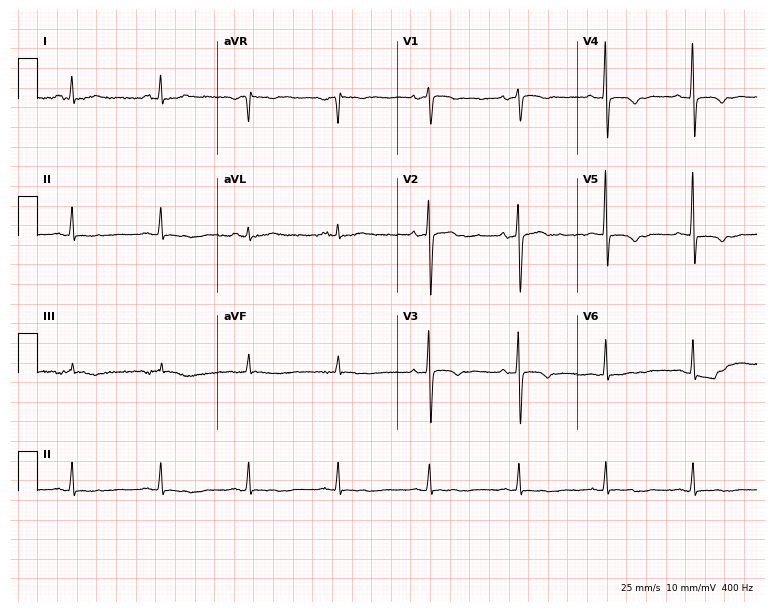
ECG — a woman, 62 years old. Screened for six findings — first-degree AV block, right bundle branch block, left bundle branch block, sinus bradycardia, atrial fibrillation, sinus tachycardia — none is recorded. Other findings, if any, are not listed.